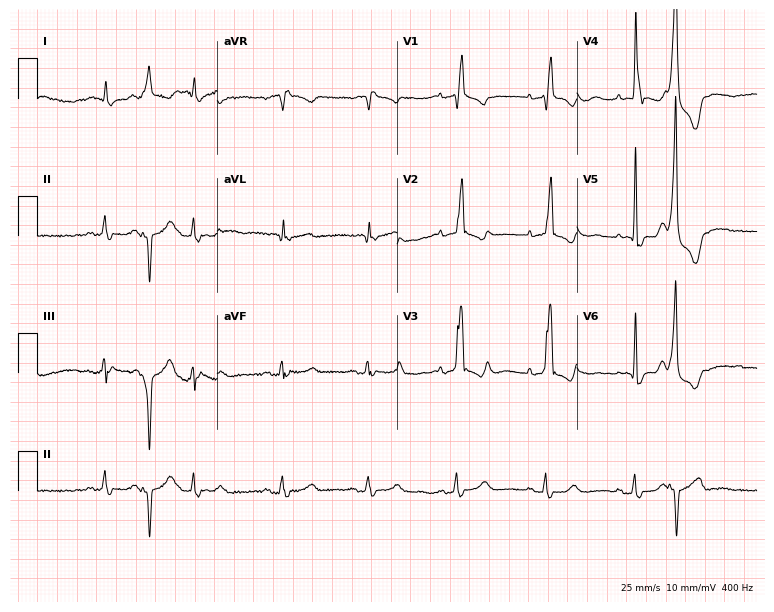
Resting 12-lead electrocardiogram (7.3-second recording at 400 Hz). Patient: an 83-year-old woman. None of these six findings is recorded: first-degree AV block, right bundle branch block, left bundle branch block, sinus bradycardia, atrial fibrillation, sinus tachycardia.